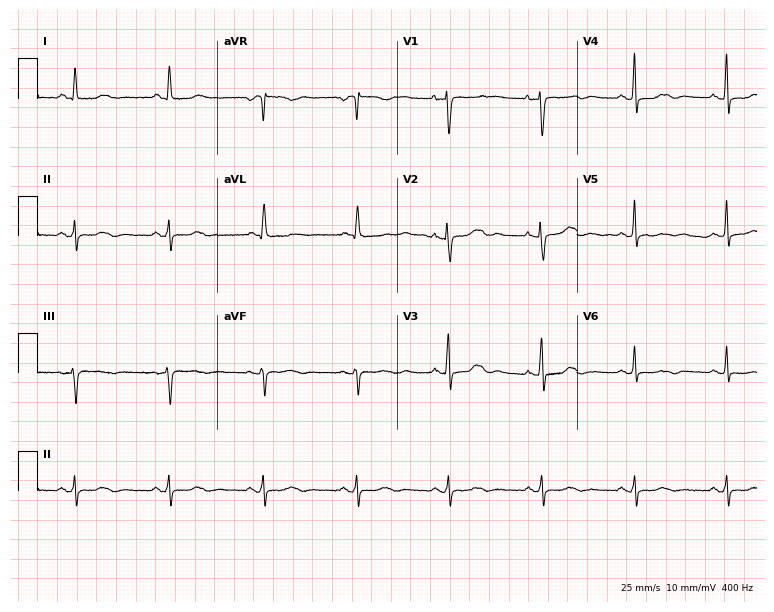
Standard 12-lead ECG recorded from a female patient, 56 years old (7.3-second recording at 400 Hz). None of these six findings is recorded: first-degree AV block, right bundle branch block, left bundle branch block, sinus bradycardia, atrial fibrillation, sinus tachycardia.